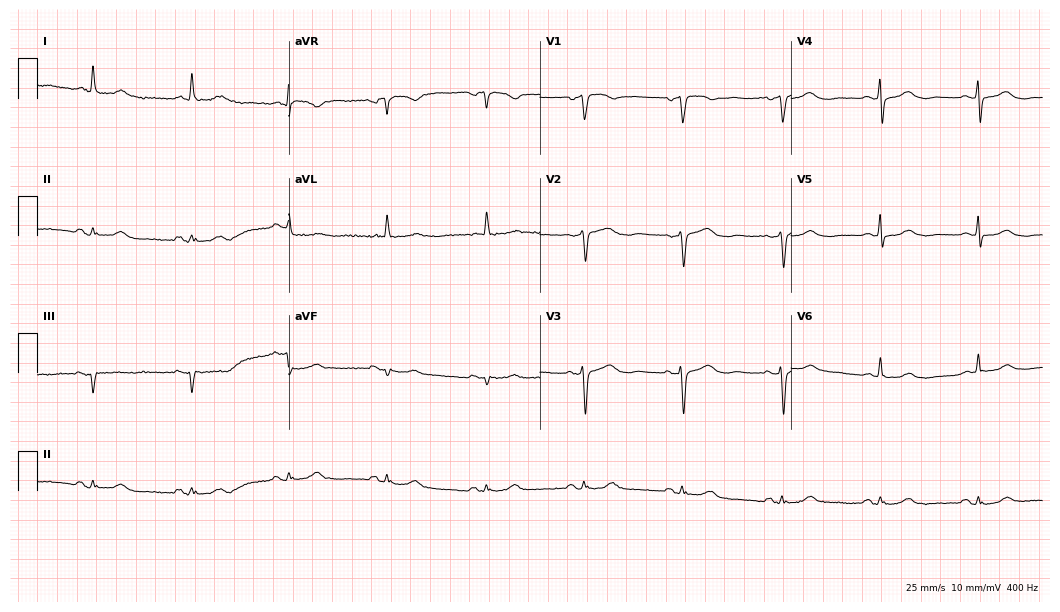
ECG — a woman, 80 years old. Screened for six findings — first-degree AV block, right bundle branch block (RBBB), left bundle branch block (LBBB), sinus bradycardia, atrial fibrillation (AF), sinus tachycardia — none is recorded. Other findings, if any, are not listed.